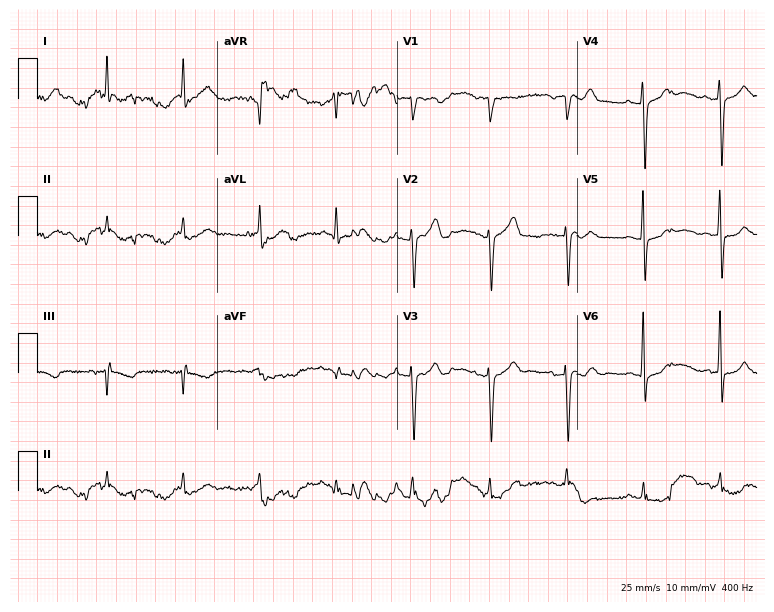
Resting 12-lead electrocardiogram (7.3-second recording at 400 Hz). Patient: a 71-year-old man. None of these six findings is recorded: first-degree AV block, right bundle branch block, left bundle branch block, sinus bradycardia, atrial fibrillation, sinus tachycardia.